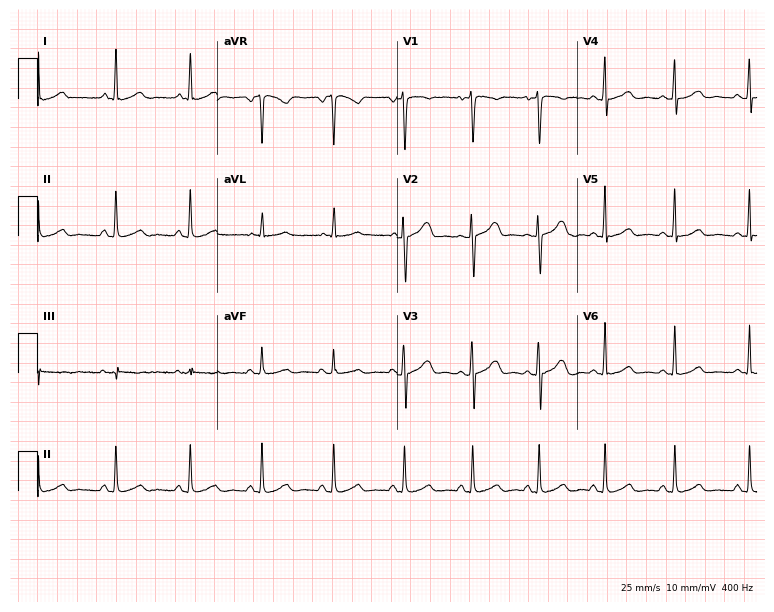
Standard 12-lead ECG recorded from a 36-year-old female patient (7.3-second recording at 400 Hz). Read as a normal ECG.